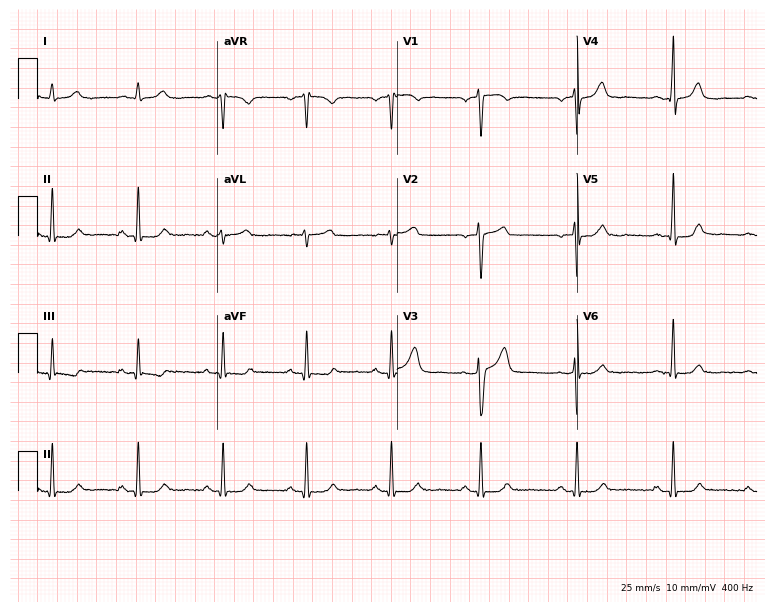
12-lead ECG (7.3-second recording at 400 Hz) from a man, 54 years old. Screened for six findings — first-degree AV block, right bundle branch block, left bundle branch block, sinus bradycardia, atrial fibrillation, sinus tachycardia — none is recorded. Other findings, if any, are not listed.